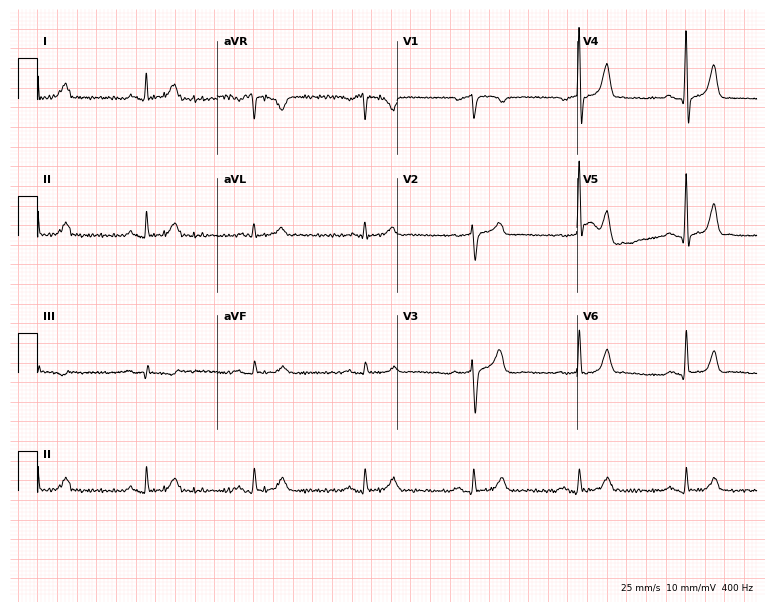
Electrocardiogram (7.3-second recording at 400 Hz), a man, 66 years old. Overall reading on record: normal ECG.